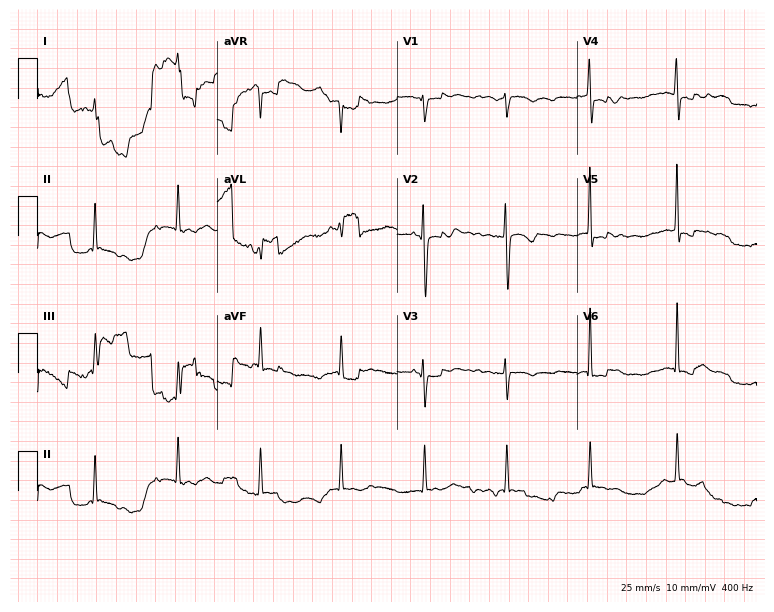
Standard 12-lead ECG recorded from a female patient, 38 years old (7.3-second recording at 400 Hz). None of these six findings is recorded: first-degree AV block, right bundle branch block, left bundle branch block, sinus bradycardia, atrial fibrillation, sinus tachycardia.